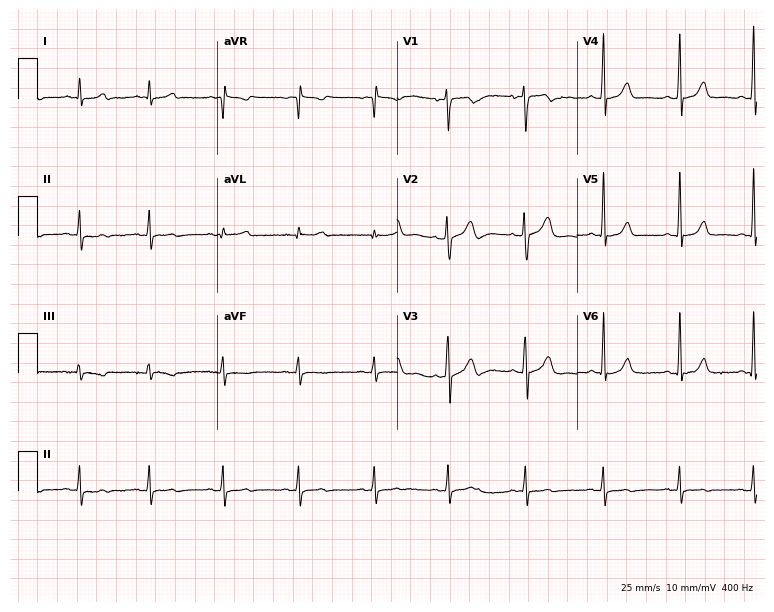
12-lead ECG from a woman, 47 years old (7.3-second recording at 400 Hz). No first-degree AV block, right bundle branch block, left bundle branch block, sinus bradycardia, atrial fibrillation or sinus tachycardia recorded for this tracing. Findings outside these six are not listed.